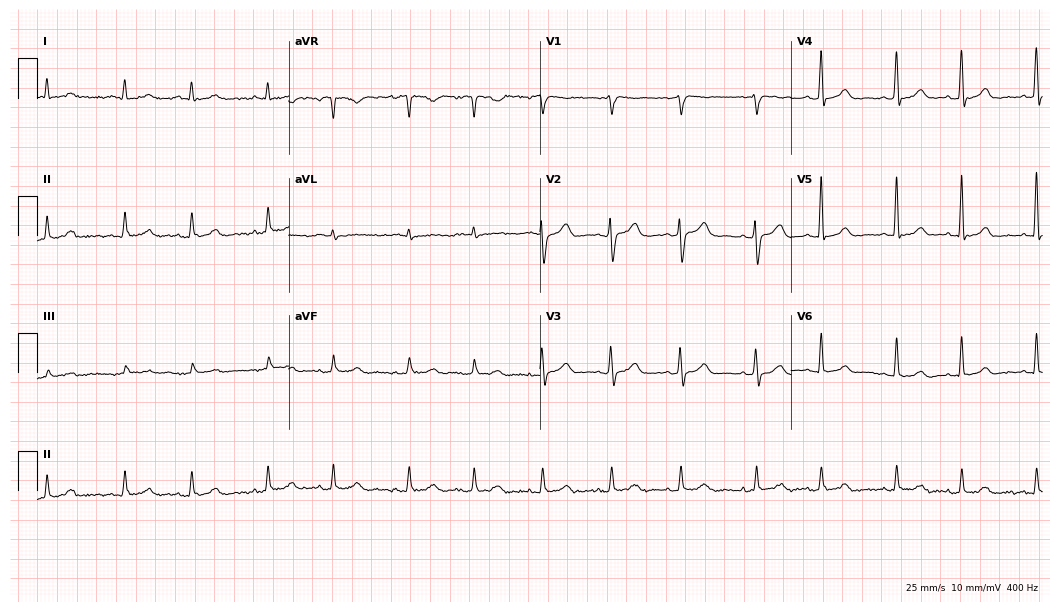
Resting 12-lead electrocardiogram. Patient: a female, 63 years old. None of these six findings is recorded: first-degree AV block, right bundle branch block, left bundle branch block, sinus bradycardia, atrial fibrillation, sinus tachycardia. Findings outside these six are not listed.